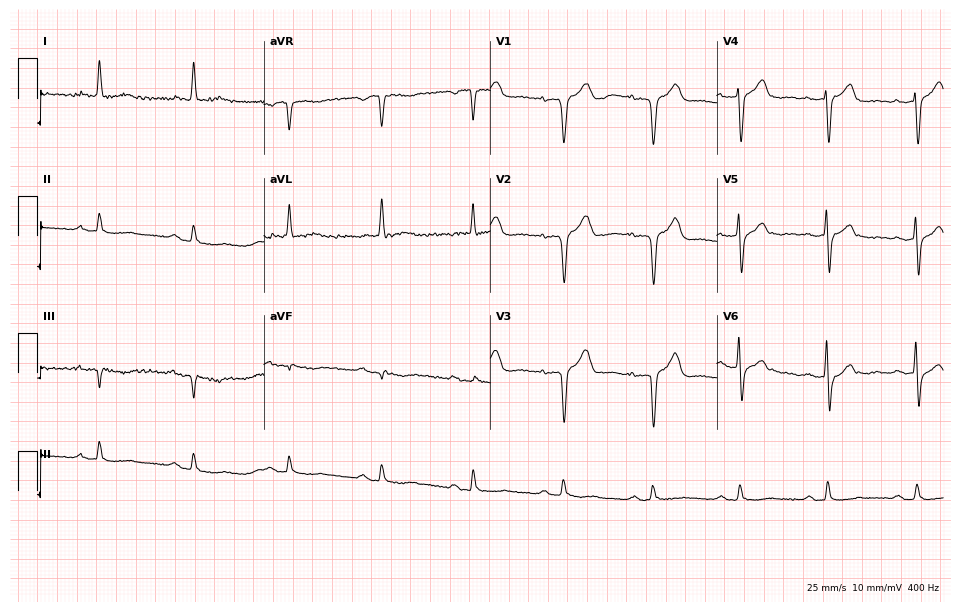
Standard 12-lead ECG recorded from an 81-year-old male patient (9.2-second recording at 400 Hz). None of these six findings is recorded: first-degree AV block, right bundle branch block, left bundle branch block, sinus bradycardia, atrial fibrillation, sinus tachycardia.